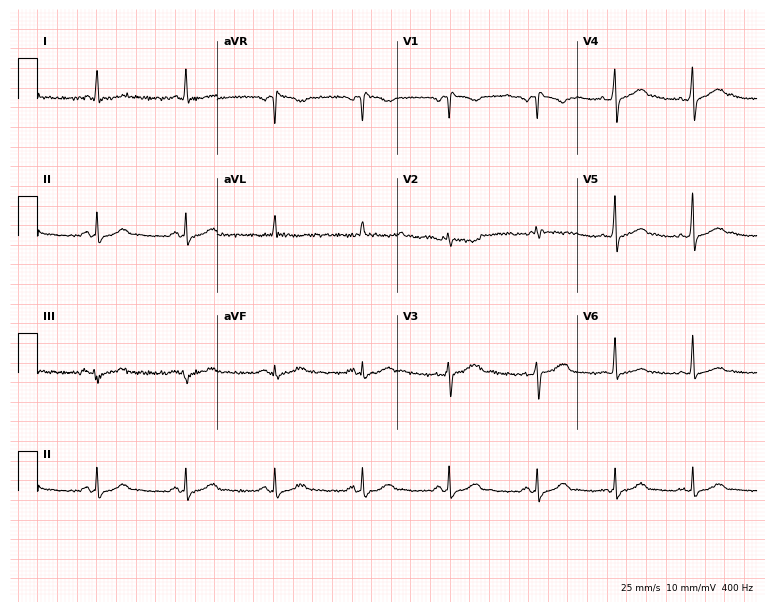
Electrocardiogram, a 57-year-old man. Overall reading on record: normal ECG.